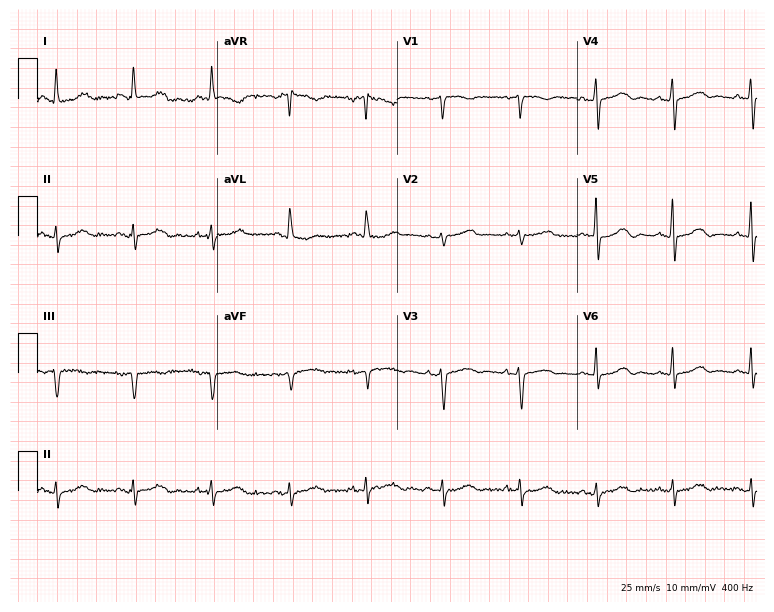
Resting 12-lead electrocardiogram. Patient: a 67-year-old woman. None of these six findings is recorded: first-degree AV block, right bundle branch block, left bundle branch block, sinus bradycardia, atrial fibrillation, sinus tachycardia. Only these six findings were labelled.